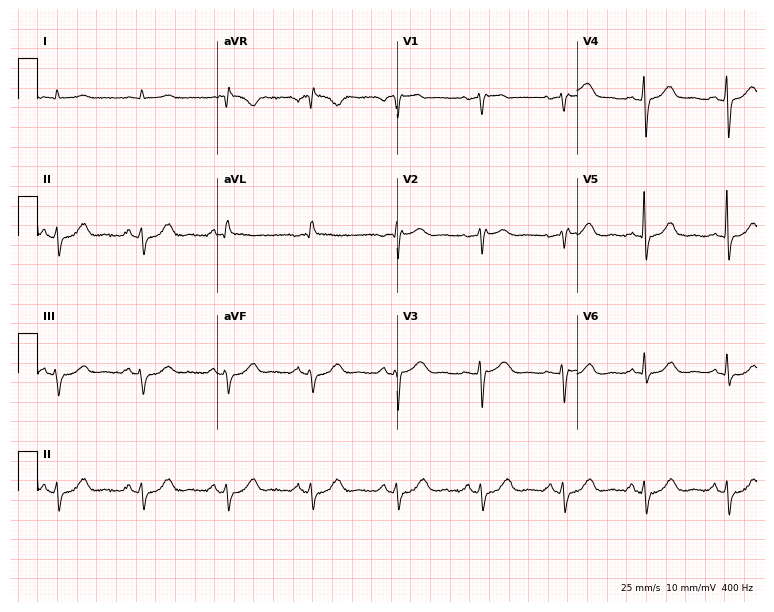
Resting 12-lead electrocardiogram. Patient: a woman, 76 years old. None of these six findings is recorded: first-degree AV block, right bundle branch block (RBBB), left bundle branch block (LBBB), sinus bradycardia, atrial fibrillation (AF), sinus tachycardia.